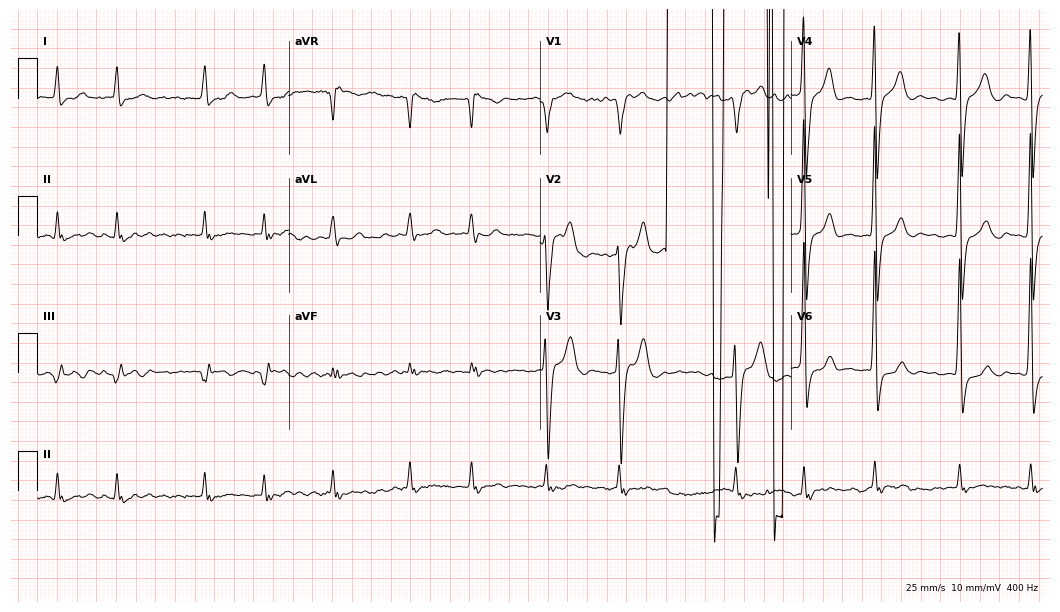
Resting 12-lead electrocardiogram. Patient: a man, 76 years old. The tracing shows left bundle branch block, atrial fibrillation.